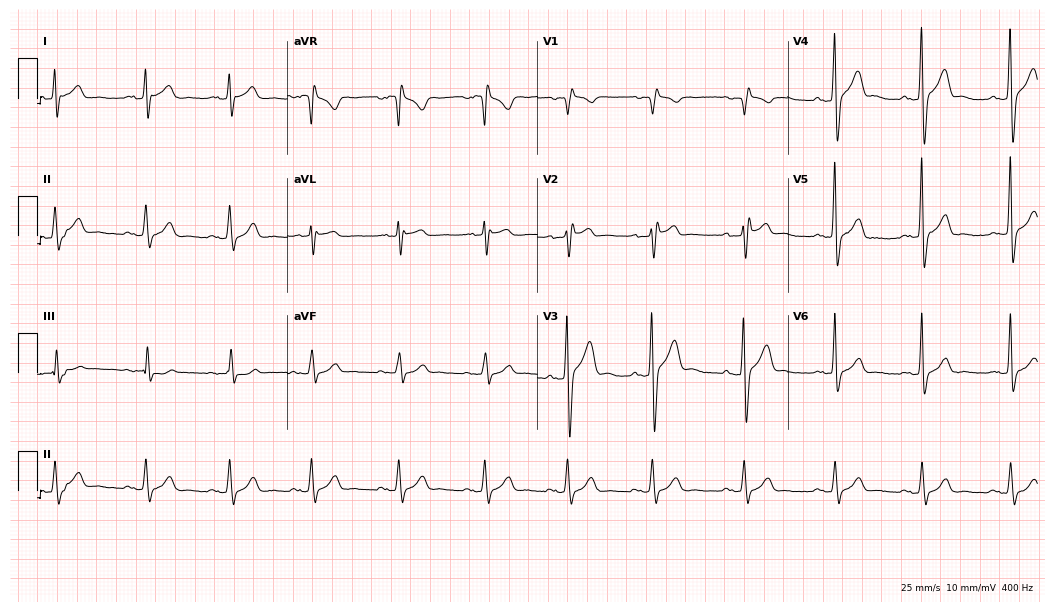
12-lead ECG from a 26-year-old male. Screened for six findings — first-degree AV block, right bundle branch block, left bundle branch block, sinus bradycardia, atrial fibrillation, sinus tachycardia — none is recorded. Findings outside these six are not listed.